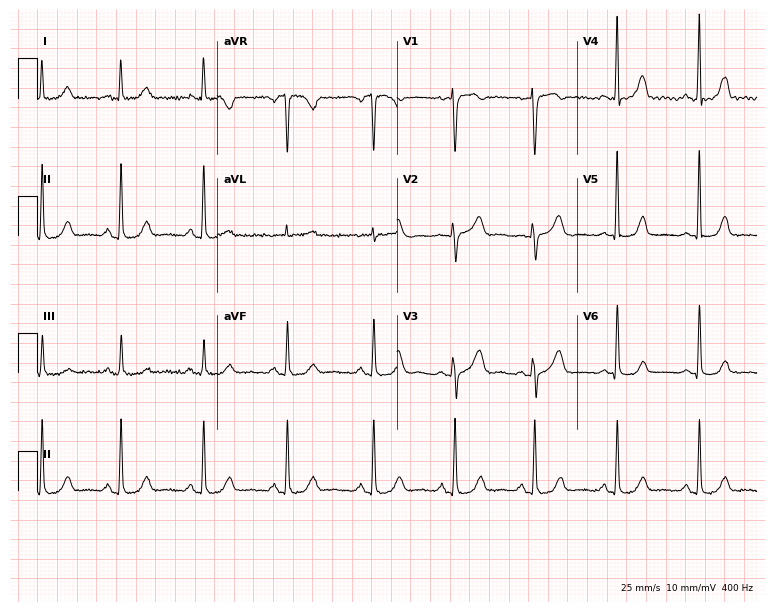
12-lead ECG from a female, 40 years old (7.3-second recording at 400 Hz). No first-degree AV block, right bundle branch block, left bundle branch block, sinus bradycardia, atrial fibrillation or sinus tachycardia recorded for this tracing. Findings outside these six are not listed.